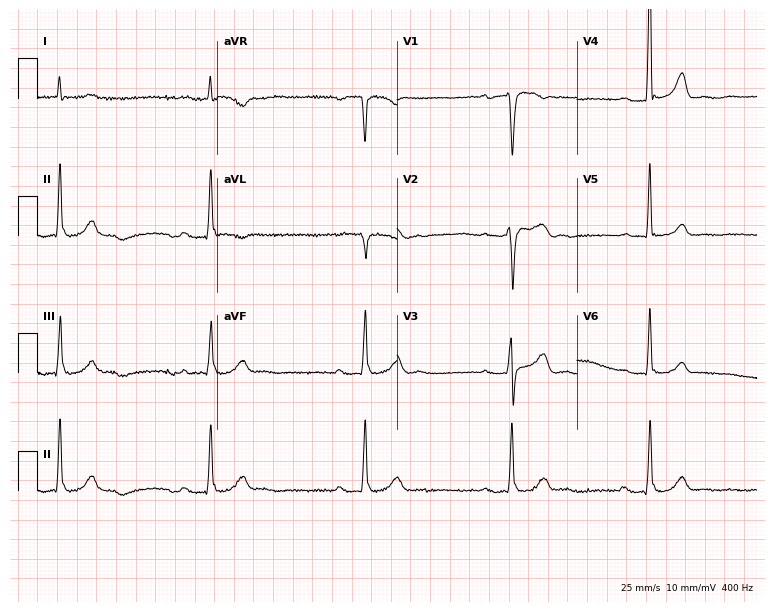
ECG — a male, 78 years old. Findings include first-degree AV block, sinus bradycardia (a sinus rate of 50 beats per minute or less).